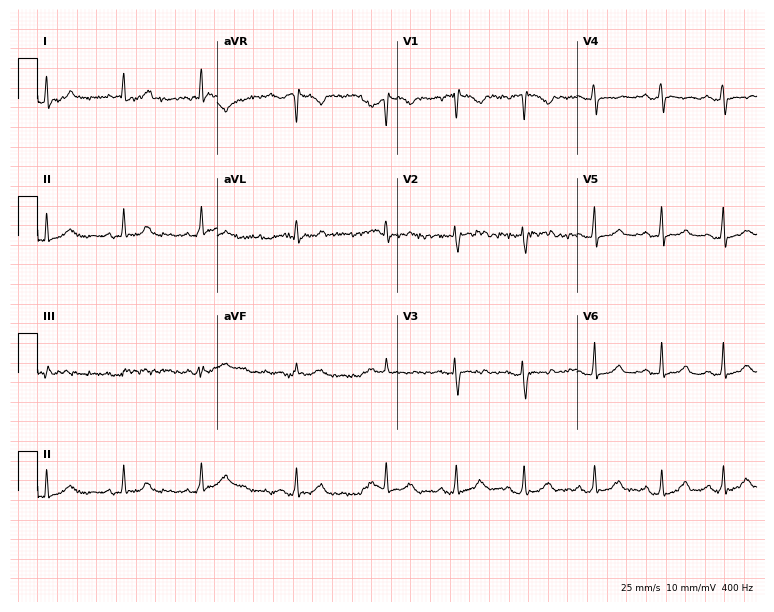
12-lead ECG (7.3-second recording at 400 Hz) from a 27-year-old female patient. Screened for six findings — first-degree AV block, right bundle branch block, left bundle branch block, sinus bradycardia, atrial fibrillation, sinus tachycardia — none is recorded. Only these six findings were labelled.